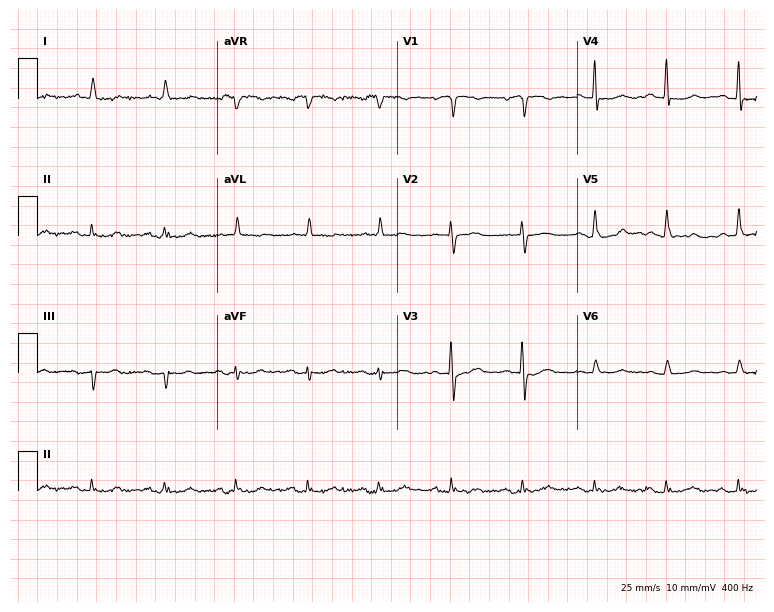
Electrocardiogram, a 75-year-old female. Of the six screened findings (first-degree AV block, right bundle branch block (RBBB), left bundle branch block (LBBB), sinus bradycardia, atrial fibrillation (AF), sinus tachycardia), none is recorded. Only these six findings were labelled.